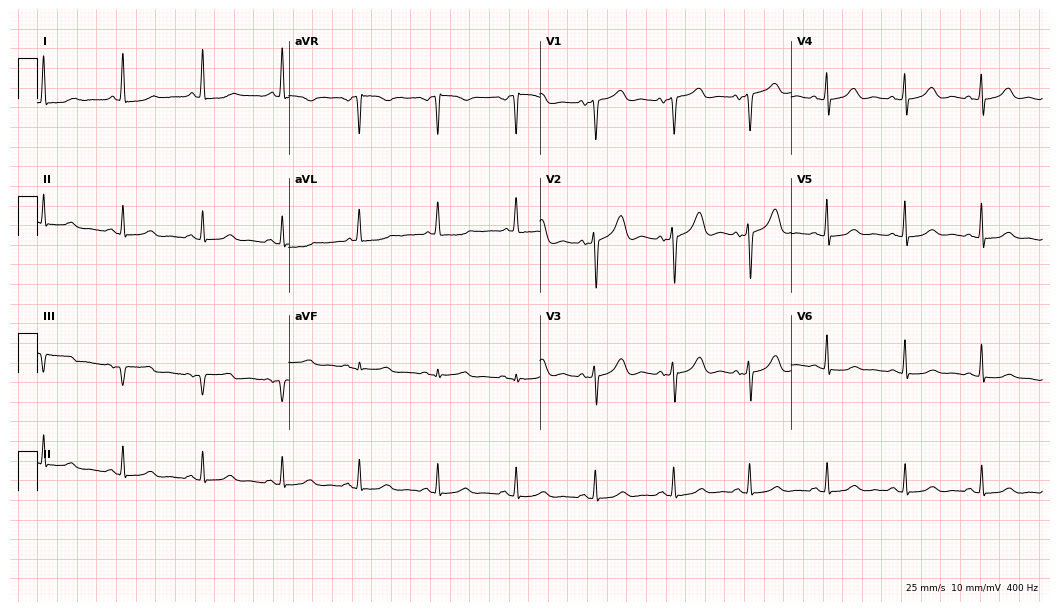
Standard 12-lead ECG recorded from a 67-year-old woman. Read as a normal ECG.